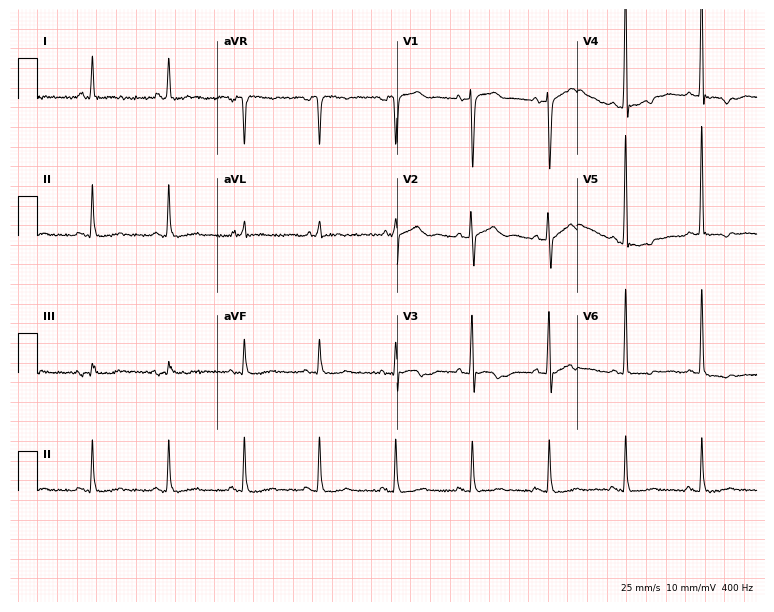
ECG (7.3-second recording at 400 Hz) — a 71-year-old woman. Screened for six findings — first-degree AV block, right bundle branch block, left bundle branch block, sinus bradycardia, atrial fibrillation, sinus tachycardia — none is recorded. Findings outside these six are not listed.